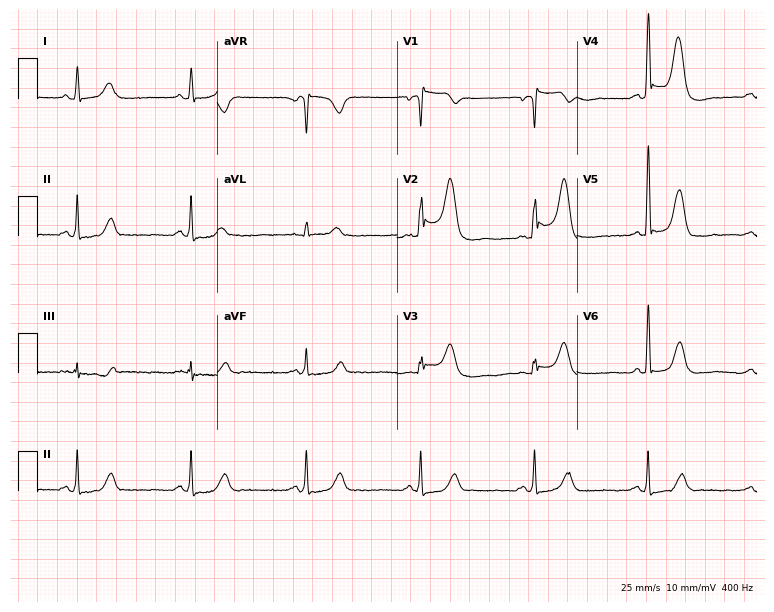
Standard 12-lead ECG recorded from a male patient, 71 years old. None of these six findings is recorded: first-degree AV block, right bundle branch block, left bundle branch block, sinus bradycardia, atrial fibrillation, sinus tachycardia. Only these six findings were labelled.